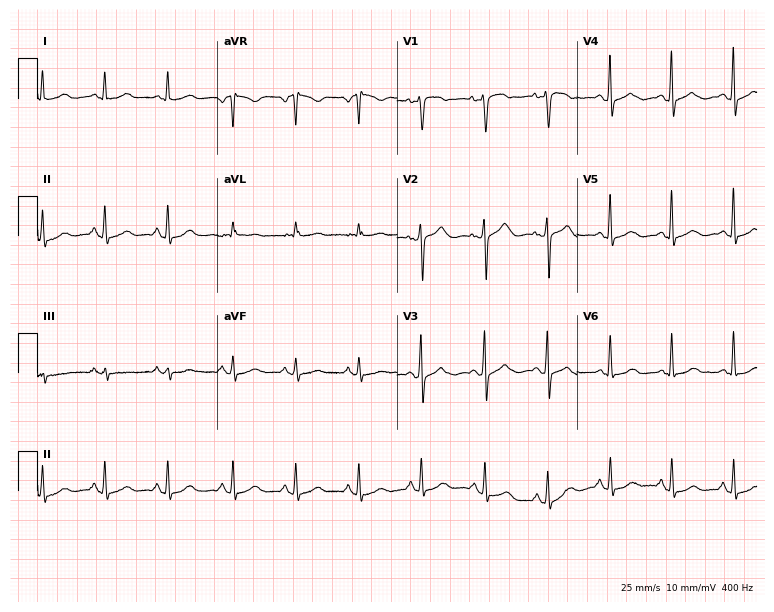
Standard 12-lead ECG recorded from a 56-year-old woman. Read as a normal ECG.